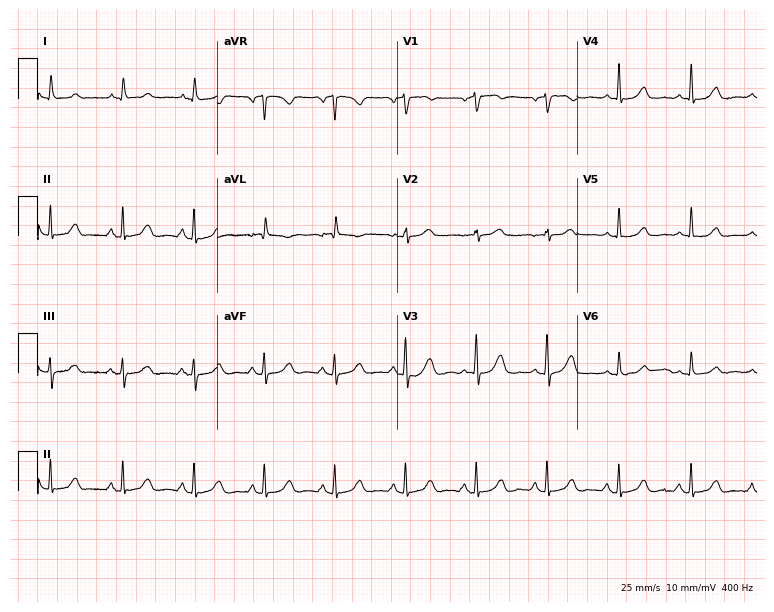
12-lead ECG (7.3-second recording at 400 Hz) from a 78-year-old female. Labelled as a normal ECG.